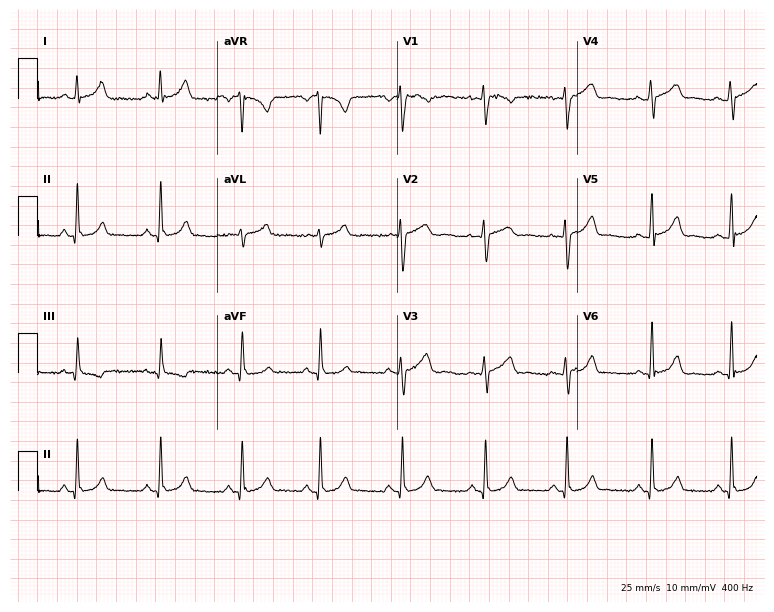
12-lead ECG from a female, 23 years old. Labelled as a normal ECG.